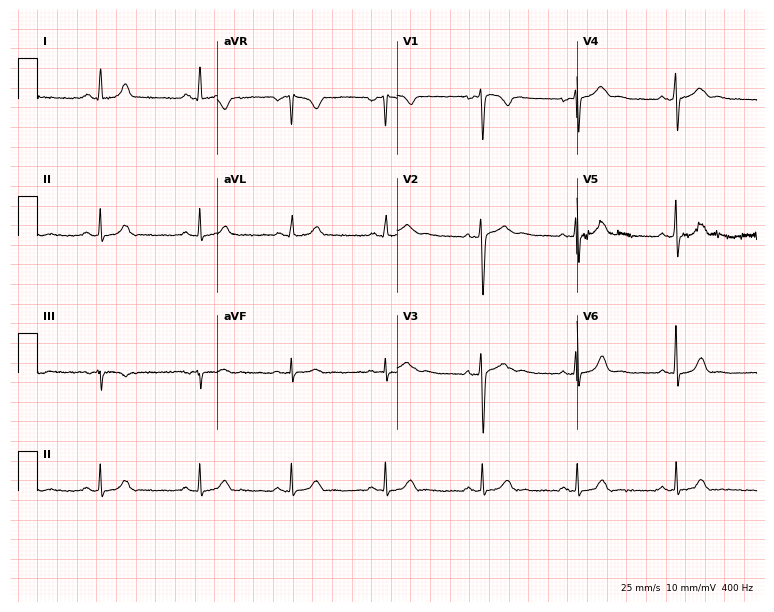
Electrocardiogram, a 28-year-old female. Overall reading on record: normal ECG.